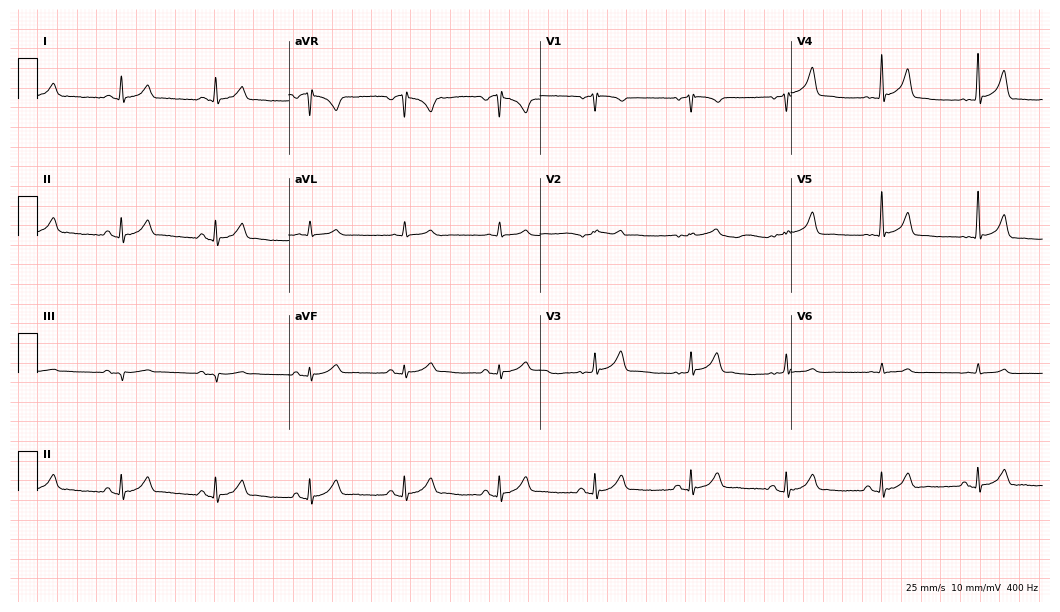
ECG (10.2-second recording at 400 Hz) — a male patient, 69 years old. Labelled as a normal ECG.